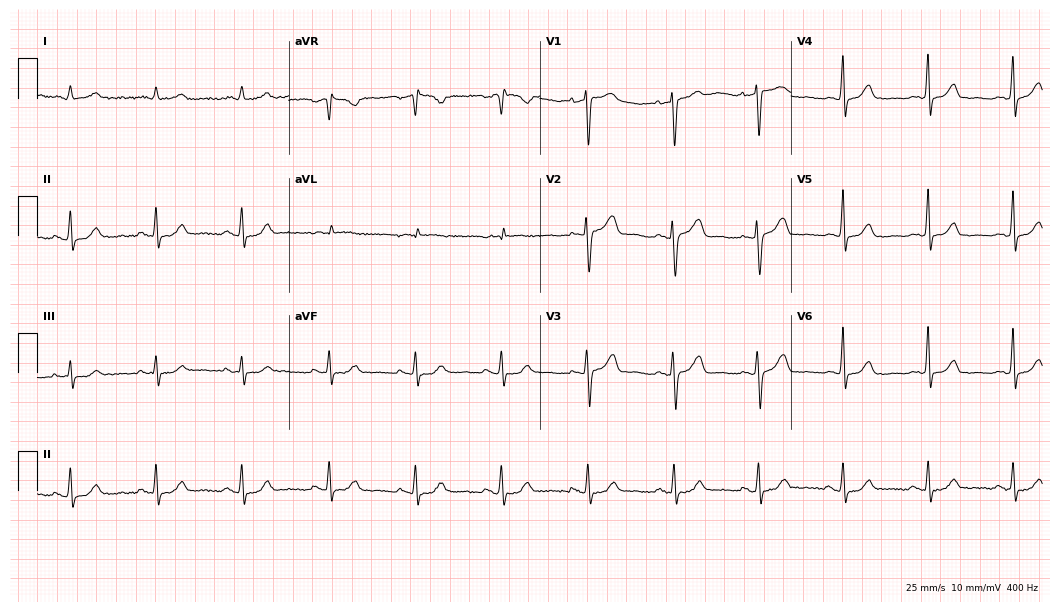
12-lead ECG from a 63-year-old female. Recorded interpretation: within normal limits.